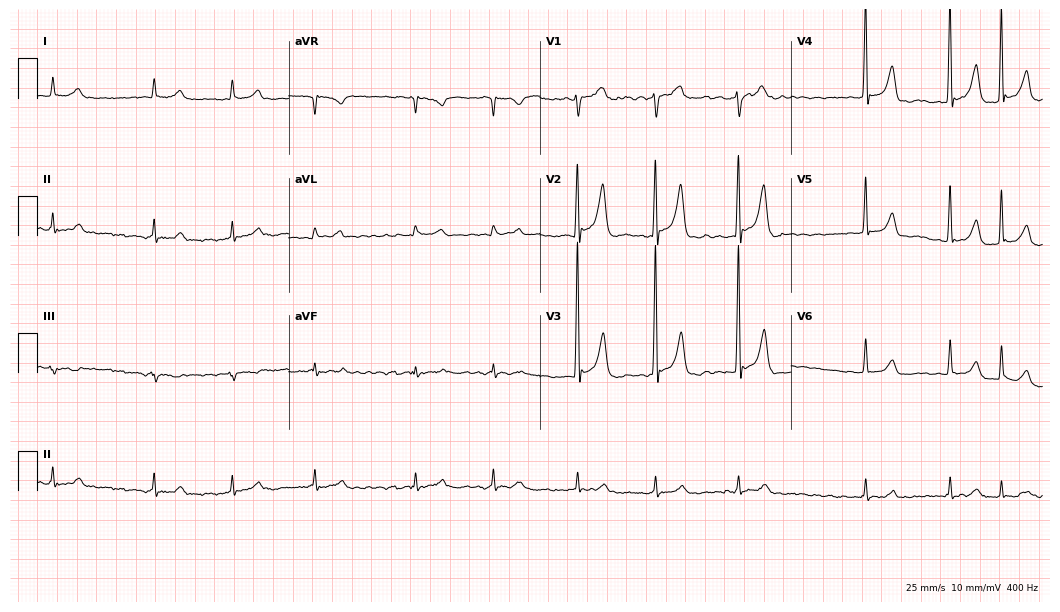
Standard 12-lead ECG recorded from a man, 67 years old. The tracing shows atrial fibrillation (AF).